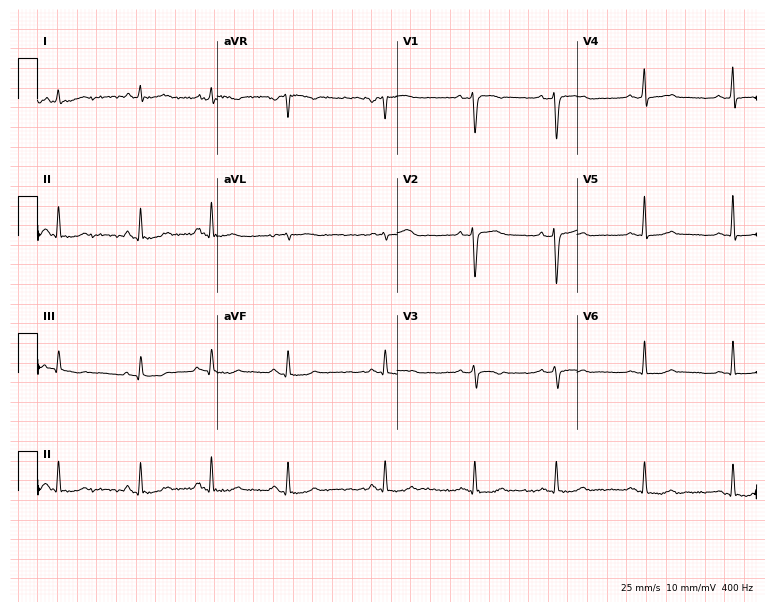
Standard 12-lead ECG recorded from a woman, 45 years old. None of these six findings is recorded: first-degree AV block, right bundle branch block, left bundle branch block, sinus bradycardia, atrial fibrillation, sinus tachycardia.